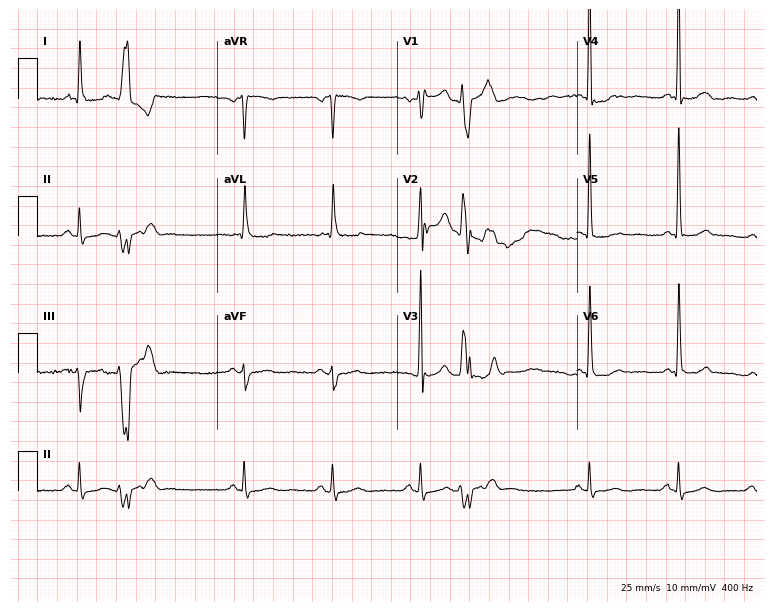
Electrocardiogram (7.3-second recording at 400 Hz), a 71-year-old male. Of the six screened findings (first-degree AV block, right bundle branch block, left bundle branch block, sinus bradycardia, atrial fibrillation, sinus tachycardia), none is recorded. Findings outside these six are not listed.